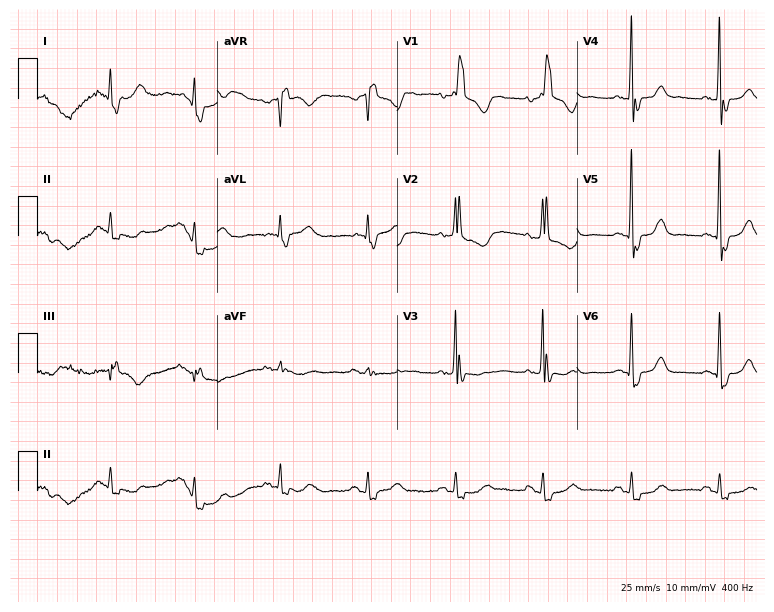
12-lead ECG from a female patient, 71 years old (7.3-second recording at 400 Hz). Shows right bundle branch block.